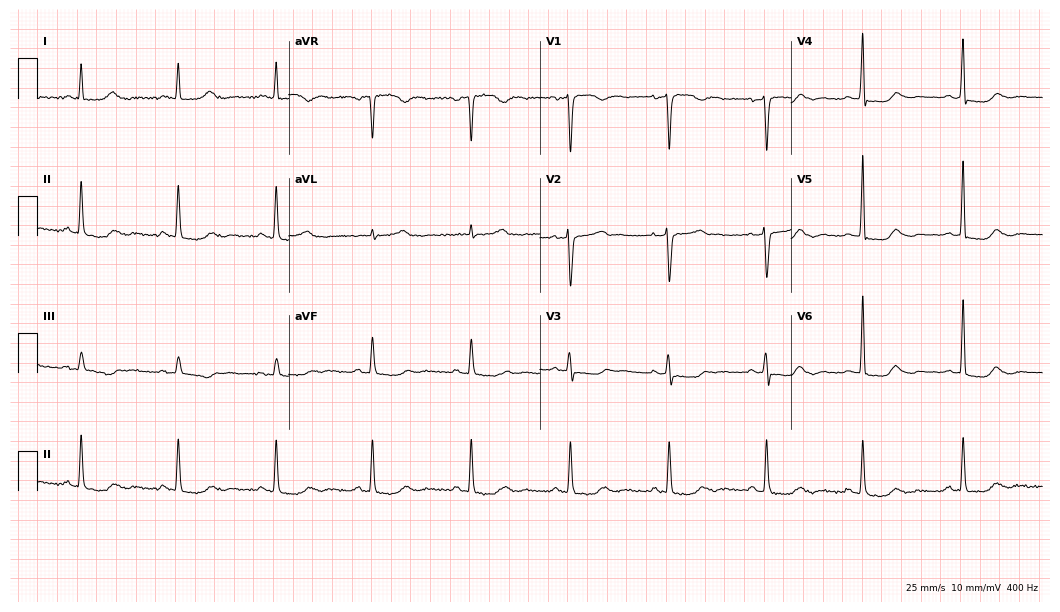
ECG — a female patient, 55 years old. Screened for six findings — first-degree AV block, right bundle branch block, left bundle branch block, sinus bradycardia, atrial fibrillation, sinus tachycardia — none is recorded.